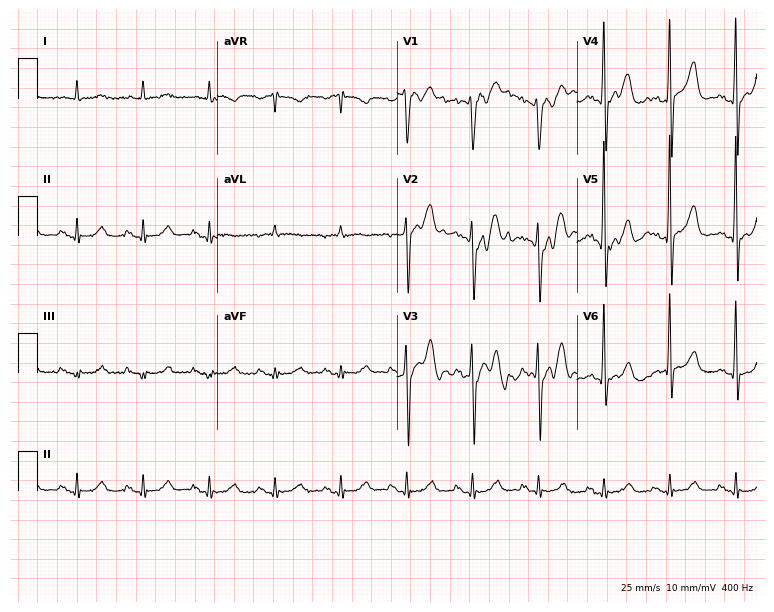
Electrocardiogram, a 76-year-old male patient. Overall reading on record: normal ECG.